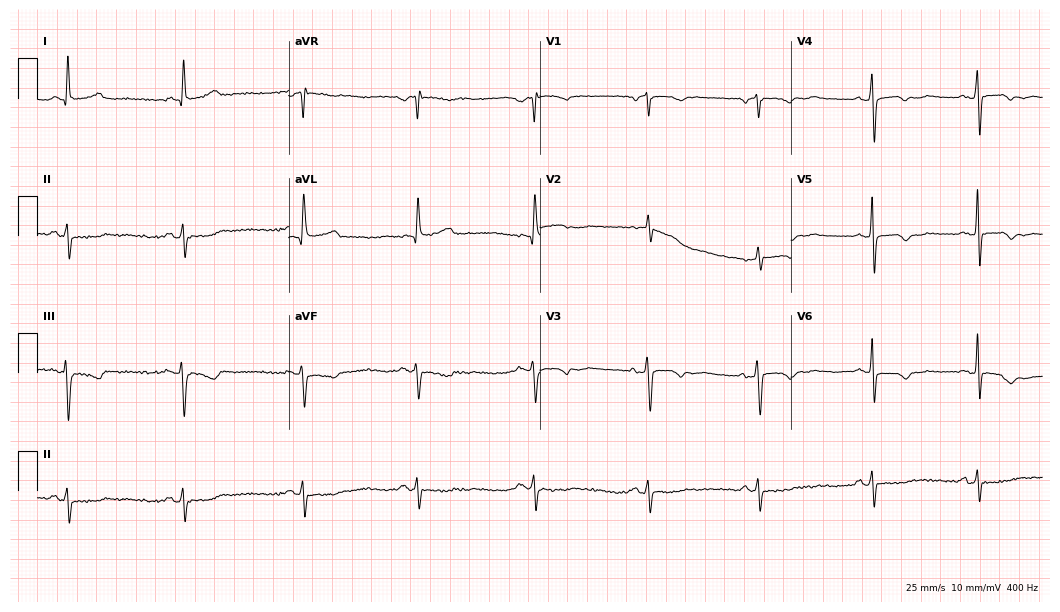
ECG — a 74-year-old female patient. Screened for six findings — first-degree AV block, right bundle branch block, left bundle branch block, sinus bradycardia, atrial fibrillation, sinus tachycardia — none is recorded.